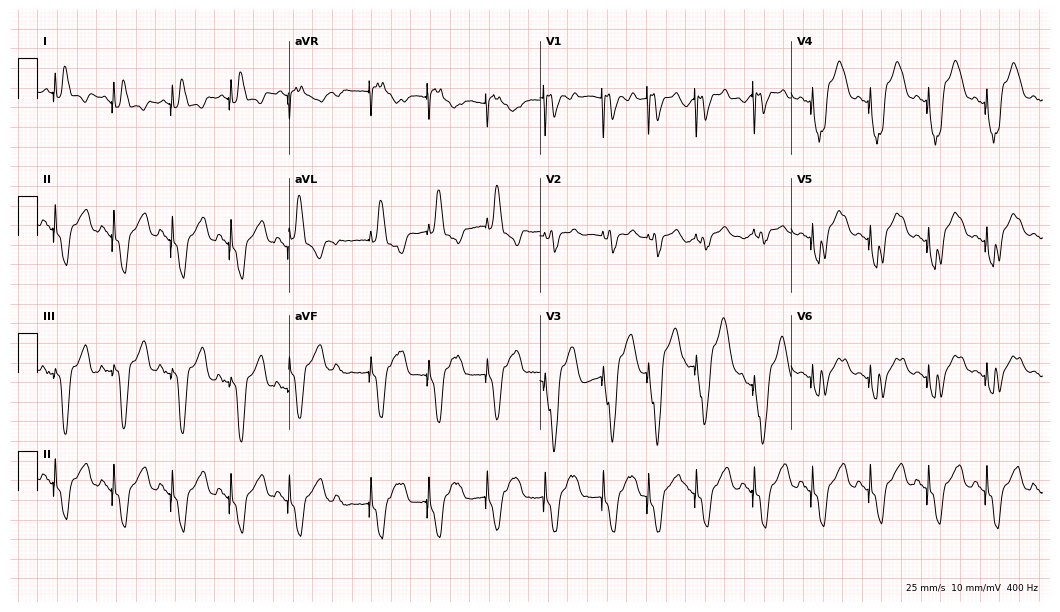
Electrocardiogram (10.2-second recording at 400 Hz), an 80-year-old man. Of the six screened findings (first-degree AV block, right bundle branch block (RBBB), left bundle branch block (LBBB), sinus bradycardia, atrial fibrillation (AF), sinus tachycardia), none is recorded. Other findings, if any, are not listed.